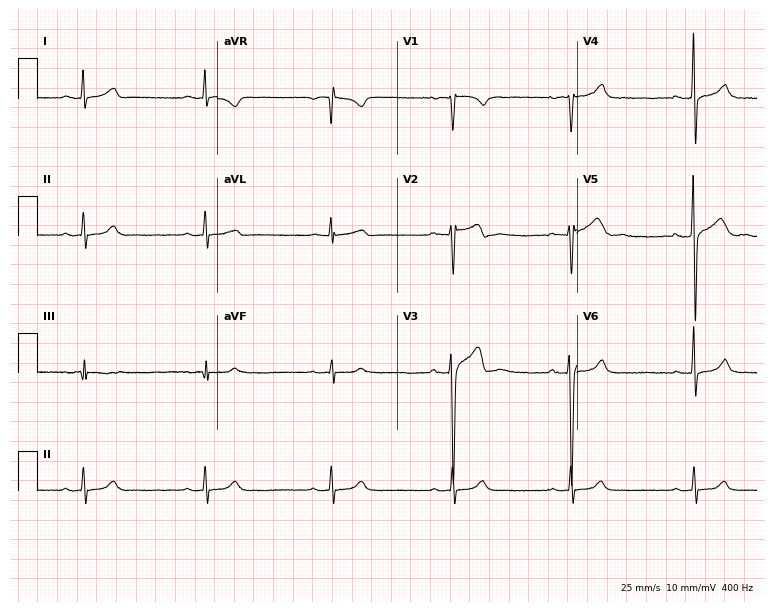
12-lead ECG (7.3-second recording at 400 Hz) from a man, 27 years old. Findings include sinus bradycardia (a sinus rate of 50 beats per minute or less).